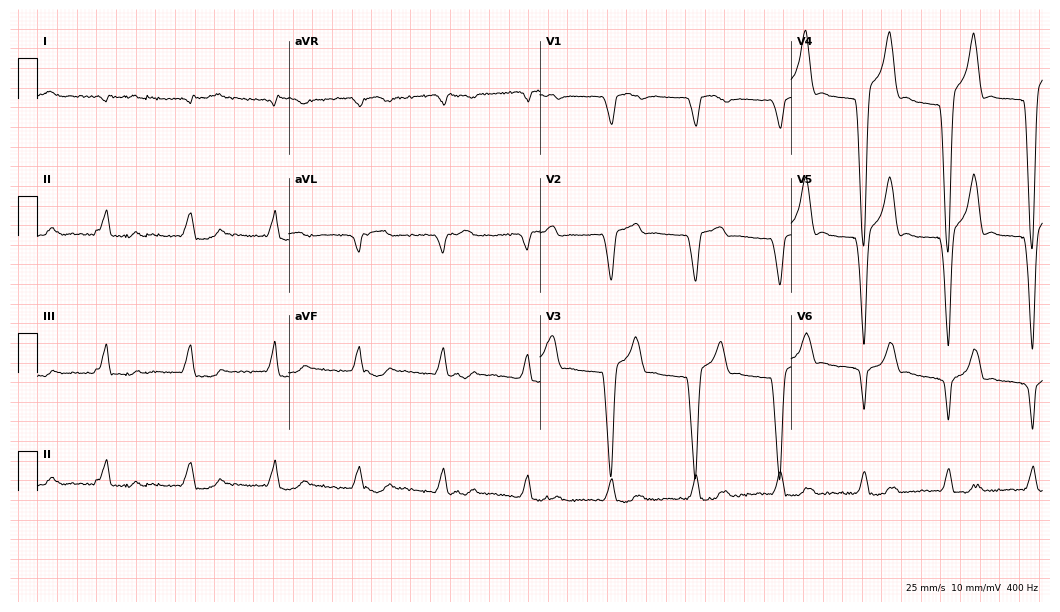
ECG — a 78-year-old male. Screened for six findings — first-degree AV block, right bundle branch block, left bundle branch block, sinus bradycardia, atrial fibrillation, sinus tachycardia — none is recorded.